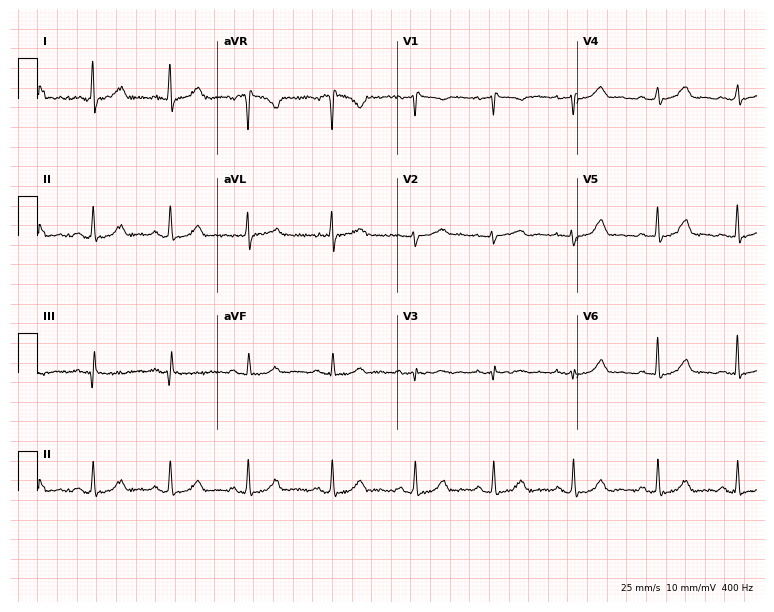
12-lead ECG from a female patient, 42 years old. Screened for six findings — first-degree AV block, right bundle branch block, left bundle branch block, sinus bradycardia, atrial fibrillation, sinus tachycardia — none is recorded. Other findings, if any, are not listed.